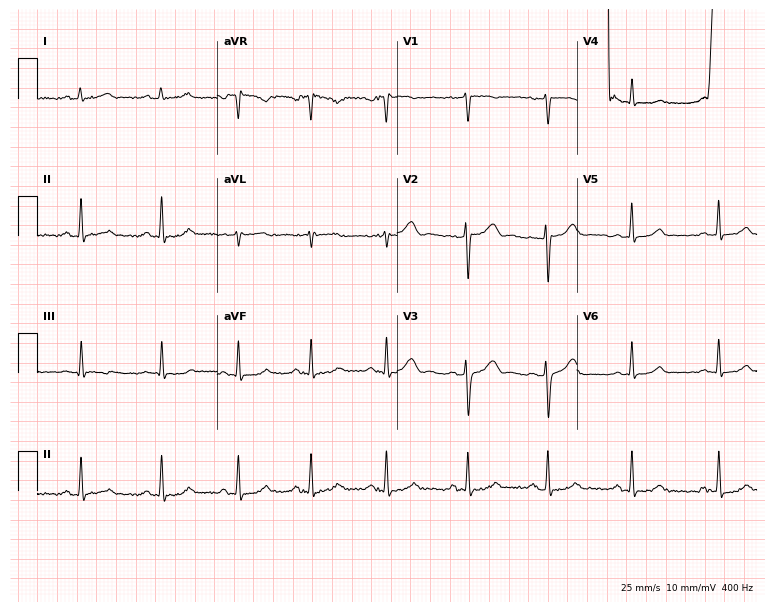
ECG (7.3-second recording at 400 Hz) — a 27-year-old female. Screened for six findings — first-degree AV block, right bundle branch block, left bundle branch block, sinus bradycardia, atrial fibrillation, sinus tachycardia — none is recorded.